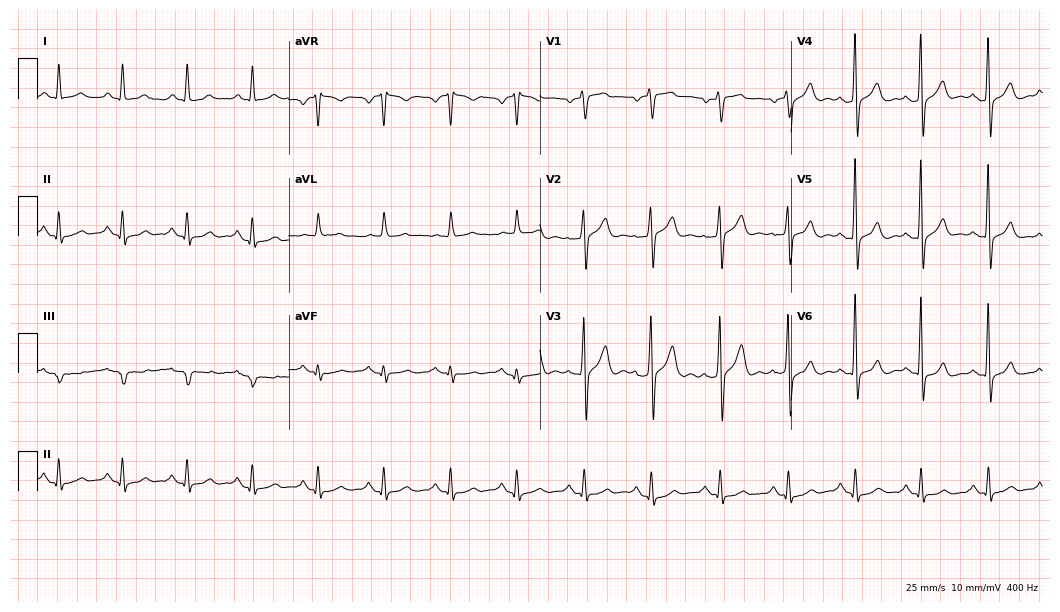
12-lead ECG from a man, 68 years old. Screened for six findings — first-degree AV block, right bundle branch block (RBBB), left bundle branch block (LBBB), sinus bradycardia, atrial fibrillation (AF), sinus tachycardia — none is recorded.